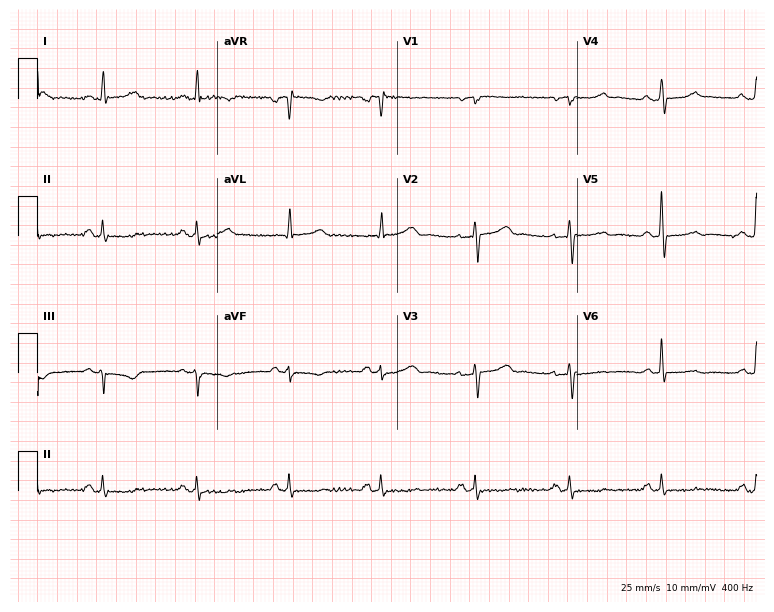
ECG (7.3-second recording at 400 Hz) — a 58-year-old woman. Screened for six findings — first-degree AV block, right bundle branch block, left bundle branch block, sinus bradycardia, atrial fibrillation, sinus tachycardia — none is recorded. Other findings, if any, are not listed.